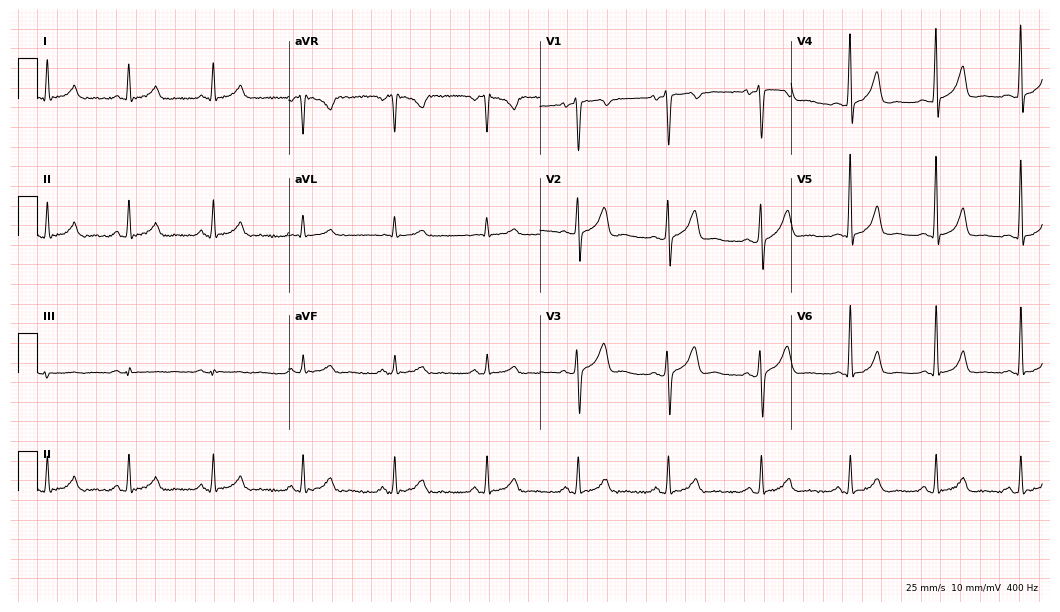
Standard 12-lead ECG recorded from a 35-year-old male. Read as a normal ECG.